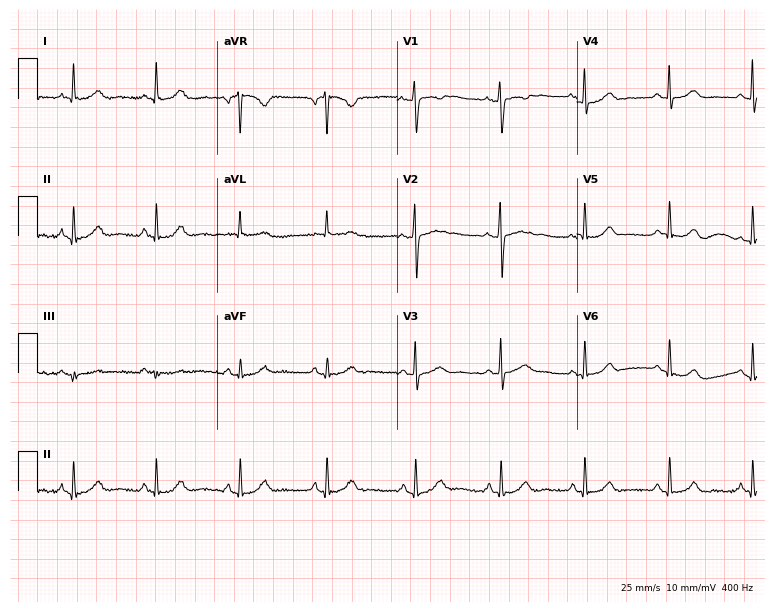
Resting 12-lead electrocardiogram. Patient: a woman, 33 years old. Read as a normal ECG.